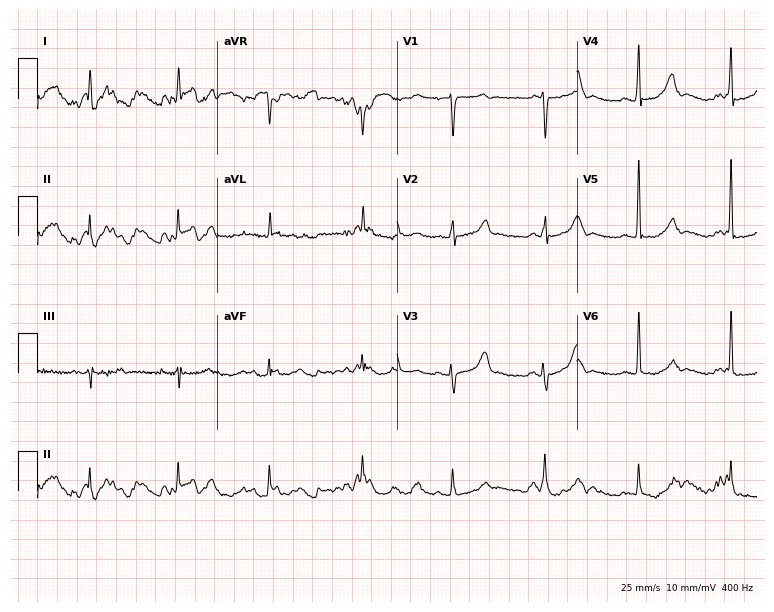
12-lead ECG from an 84-year-old woman. No first-degree AV block, right bundle branch block, left bundle branch block, sinus bradycardia, atrial fibrillation or sinus tachycardia recorded for this tracing.